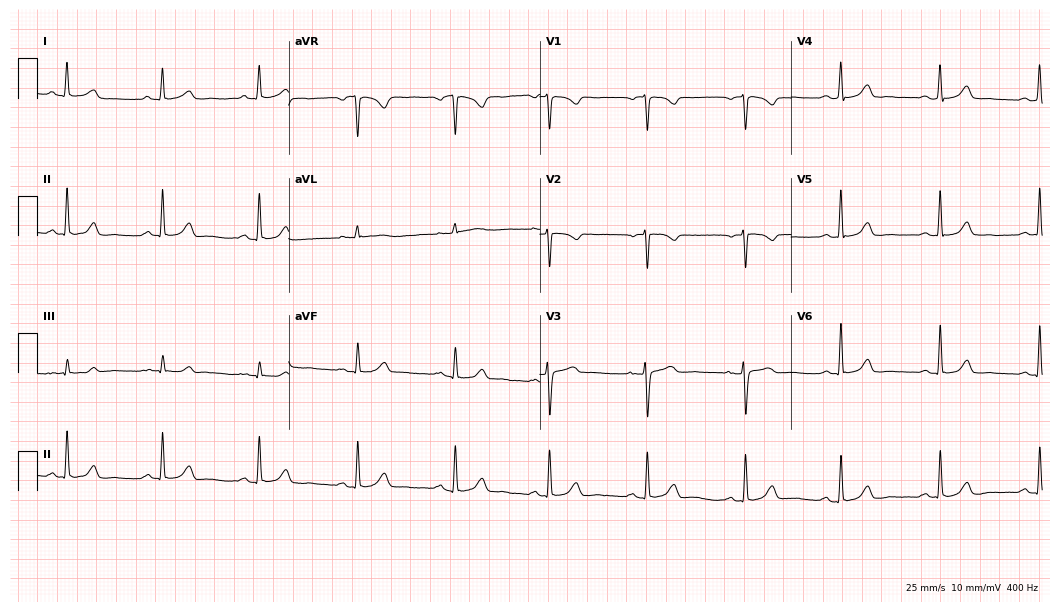
Electrocardiogram, a 43-year-old woman. Overall reading on record: normal ECG.